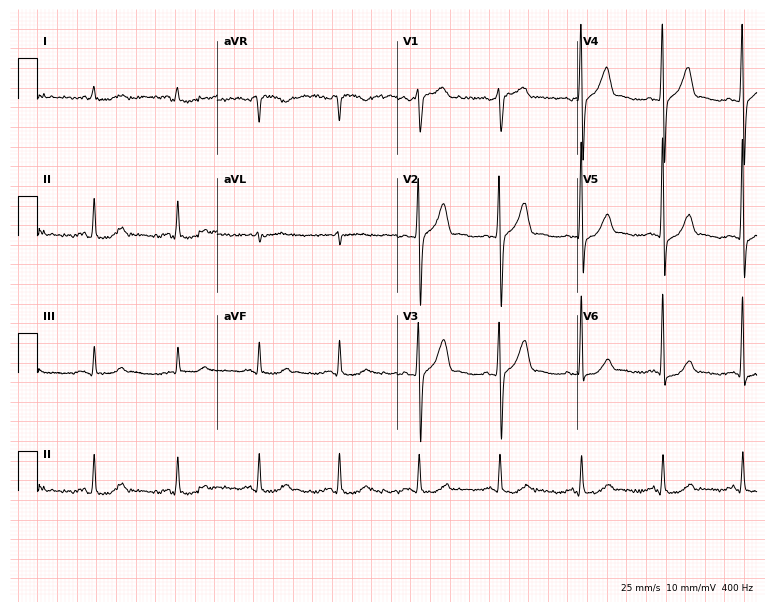
Resting 12-lead electrocardiogram. Patient: a male, 55 years old. Read as a normal ECG.